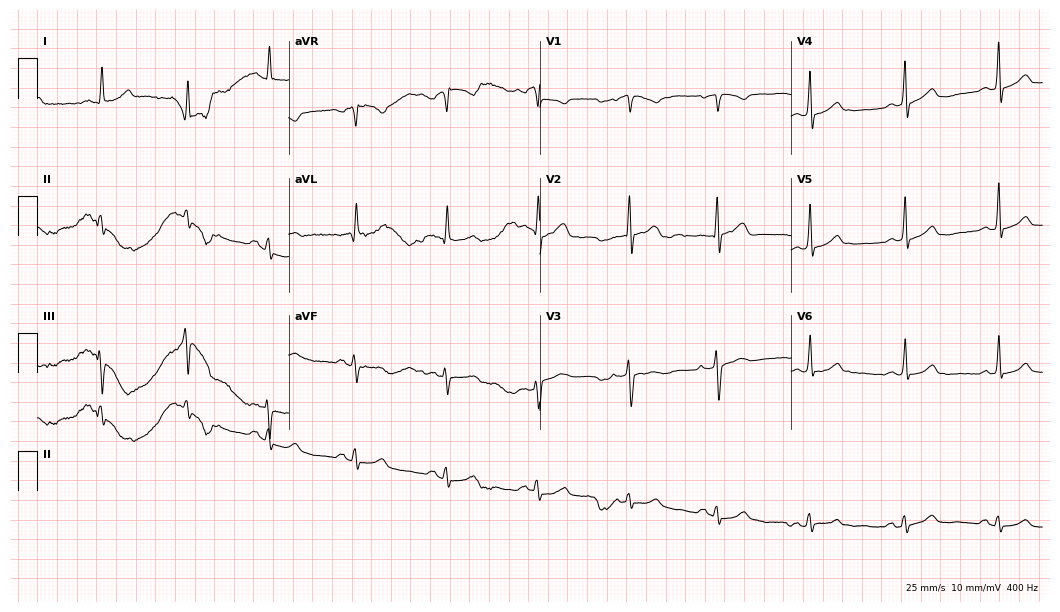
Resting 12-lead electrocardiogram (10.2-second recording at 400 Hz). Patient: a woman, 63 years old. Read as a normal ECG.